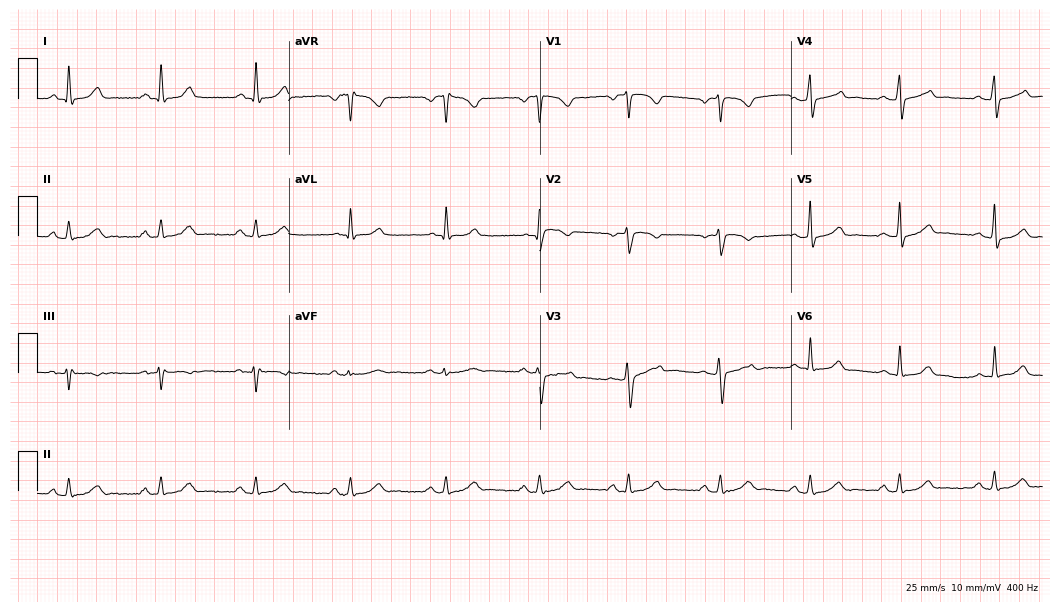
Electrocardiogram, a female, 32 years old. Overall reading on record: normal ECG.